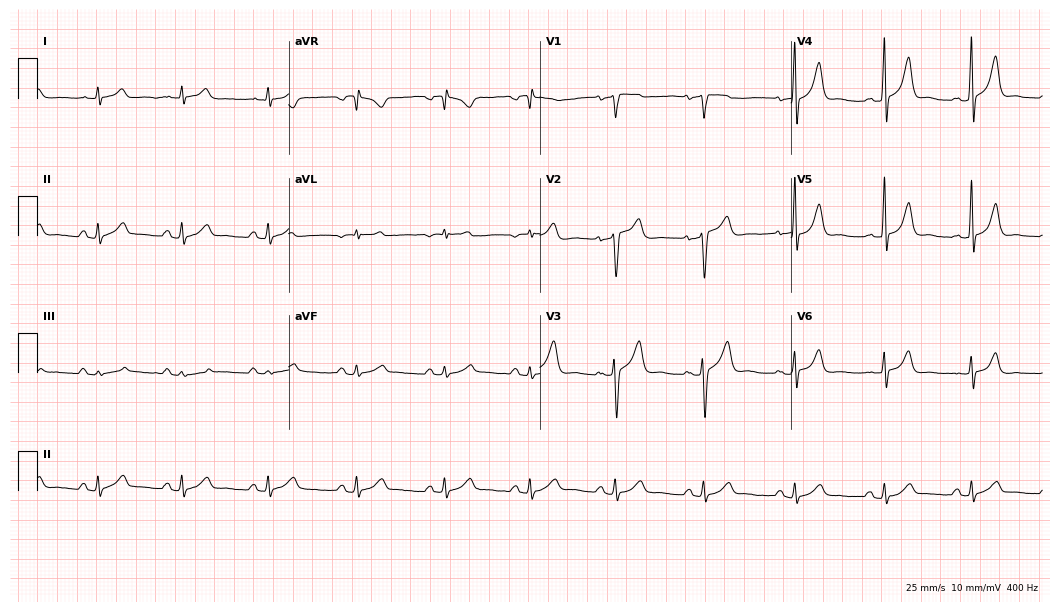
12-lead ECG from a male, 53 years old. Recorded interpretation: within normal limits.